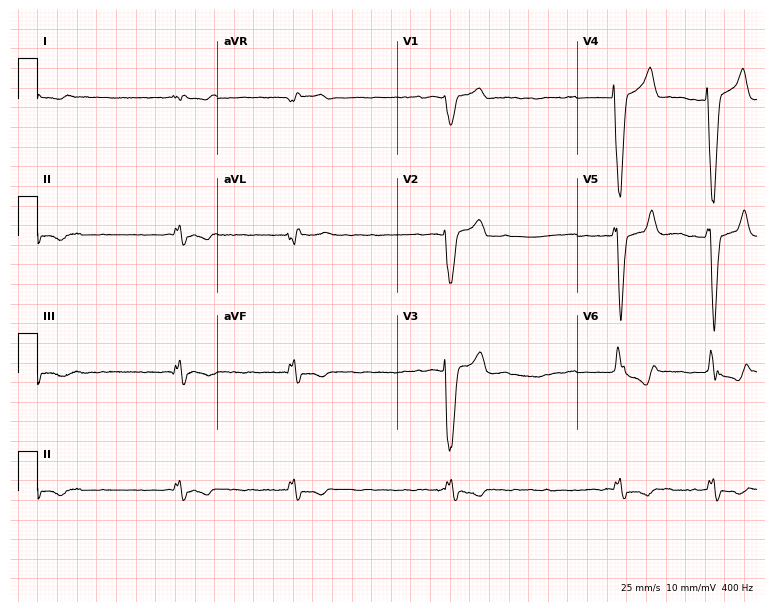
Electrocardiogram (7.3-second recording at 400 Hz), a male, 84 years old. Interpretation includes left bundle branch block, atrial fibrillation.